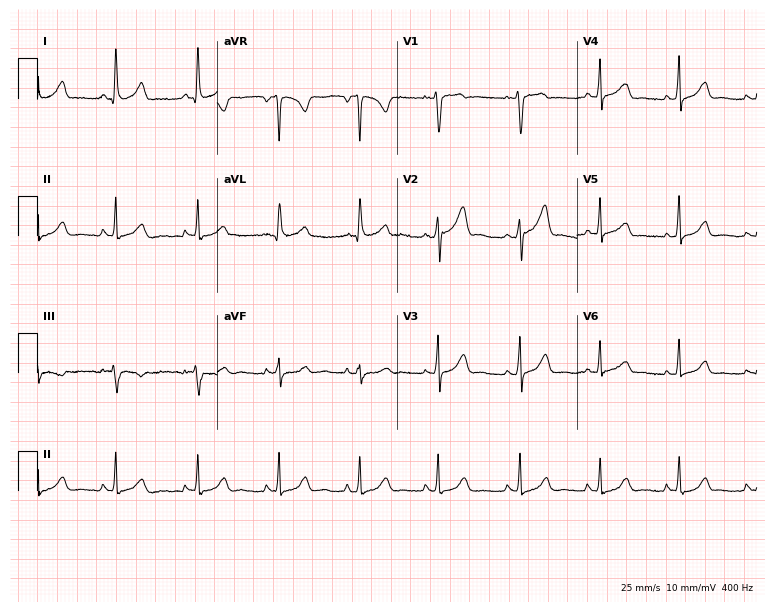
Standard 12-lead ECG recorded from a 52-year-old female patient (7.3-second recording at 400 Hz). Read as a normal ECG.